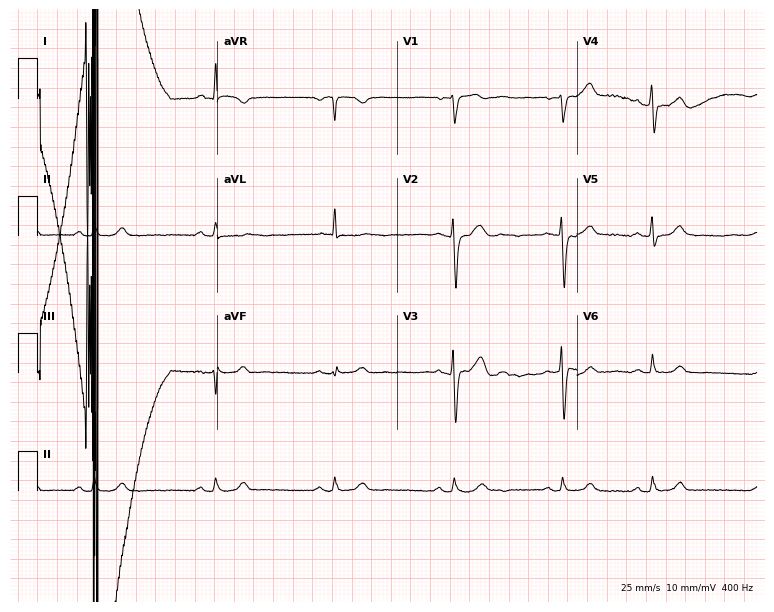
Electrocardiogram, a male patient, 72 years old. Overall reading on record: normal ECG.